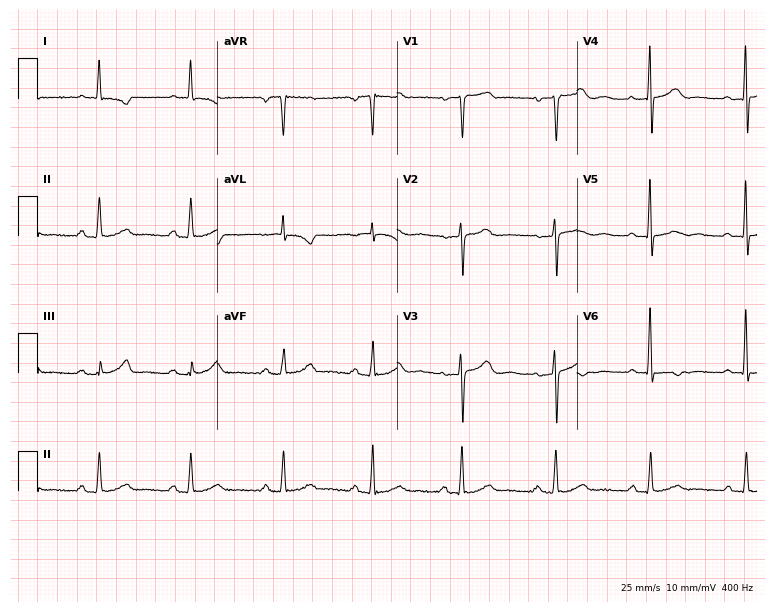
ECG (7.3-second recording at 400 Hz) — a 62-year-old female. Screened for six findings — first-degree AV block, right bundle branch block (RBBB), left bundle branch block (LBBB), sinus bradycardia, atrial fibrillation (AF), sinus tachycardia — none is recorded.